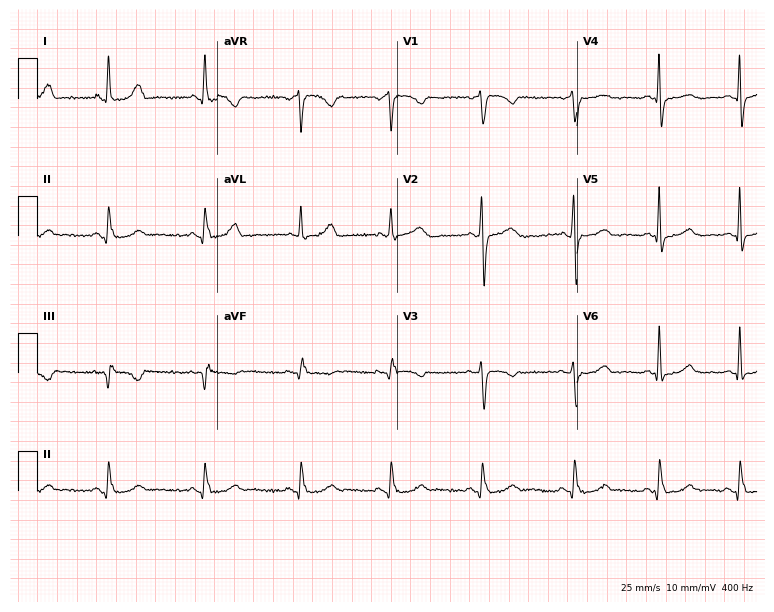
ECG — a woman, 55 years old. Labelled as a normal ECG.